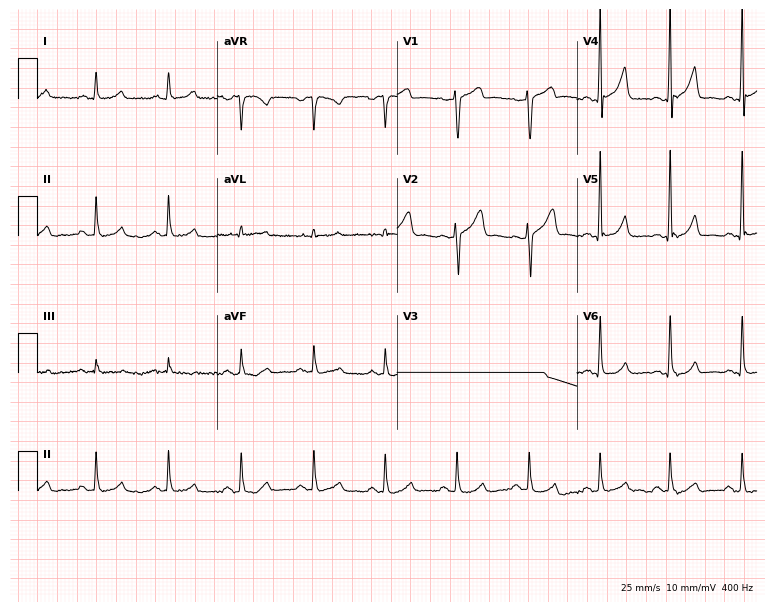
Electrocardiogram (7.3-second recording at 400 Hz), a 44-year-old man. Of the six screened findings (first-degree AV block, right bundle branch block, left bundle branch block, sinus bradycardia, atrial fibrillation, sinus tachycardia), none is recorded. Other findings, if any, are not listed.